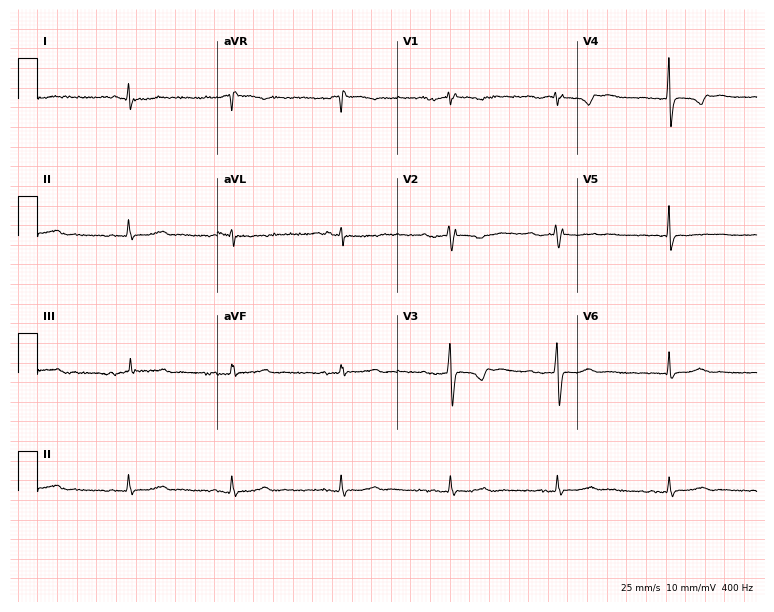
Electrocardiogram (7.3-second recording at 400 Hz), a 54-year-old woman. Of the six screened findings (first-degree AV block, right bundle branch block (RBBB), left bundle branch block (LBBB), sinus bradycardia, atrial fibrillation (AF), sinus tachycardia), none is recorded.